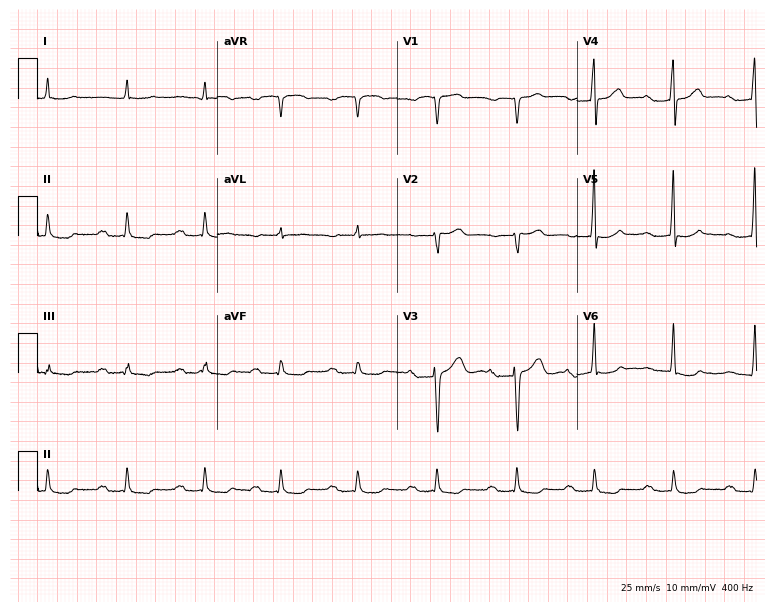
12-lead ECG from a man, 58 years old (7.3-second recording at 400 Hz). Shows first-degree AV block.